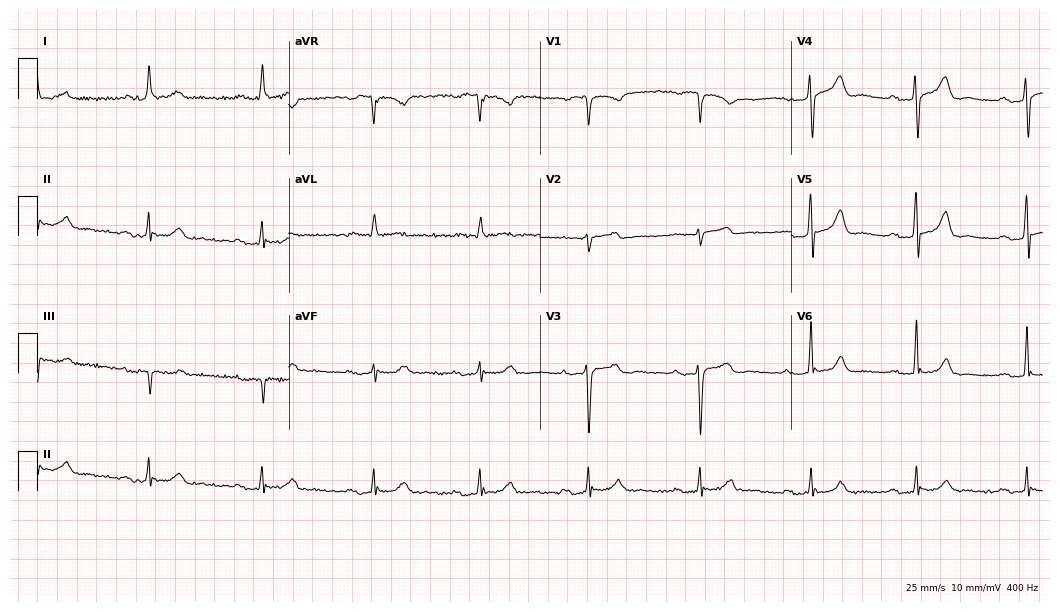
Electrocardiogram, a woman, 69 years old. Interpretation includes first-degree AV block.